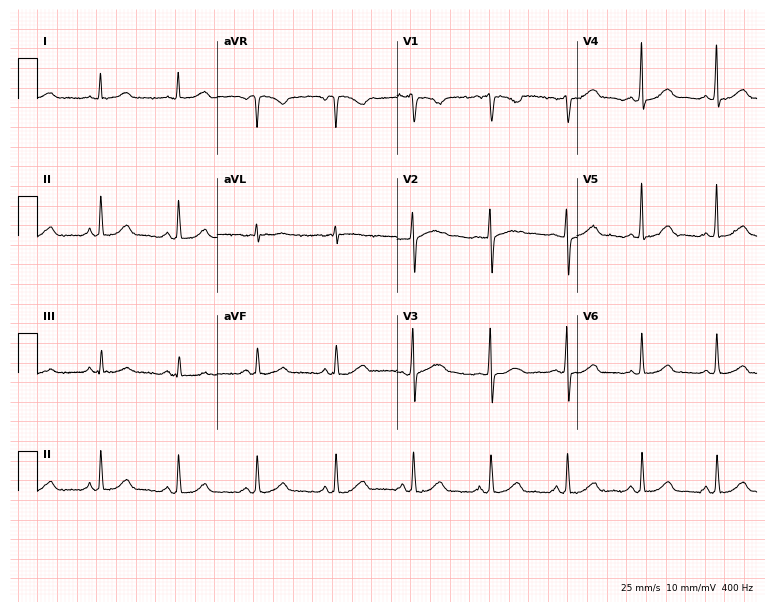
Standard 12-lead ECG recorded from a 49-year-old female patient. Read as a normal ECG.